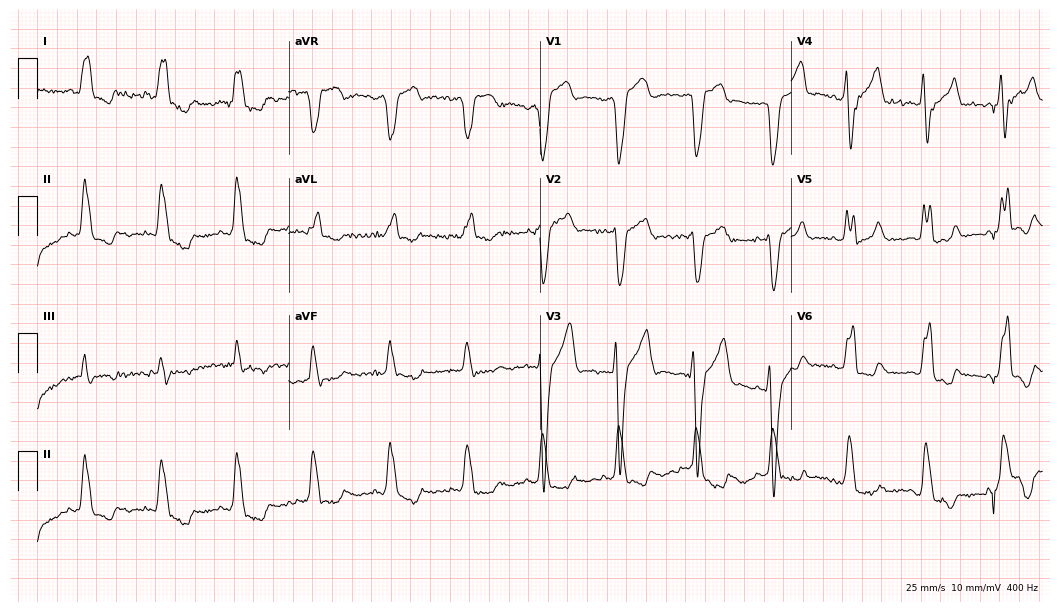
ECG — an 84-year-old male patient. Findings include left bundle branch block.